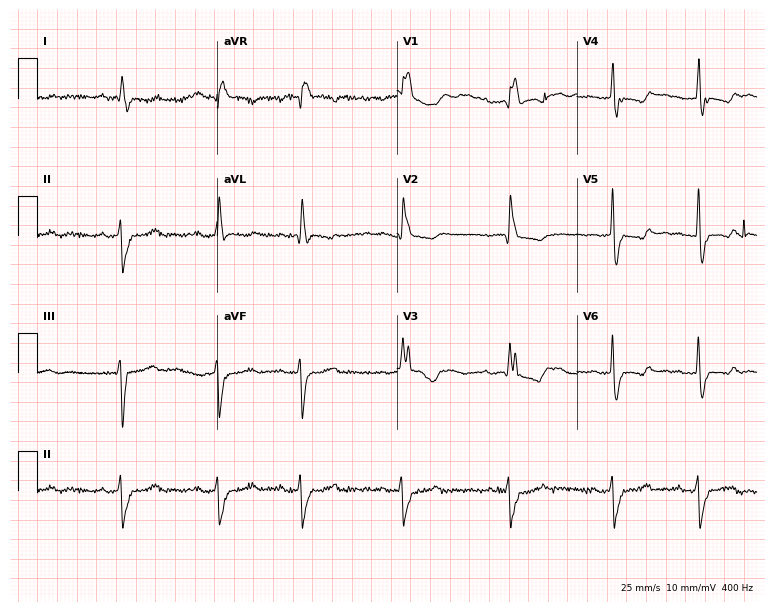
12-lead ECG from a female, 74 years old. Shows right bundle branch block, left bundle branch block, atrial fibrillation.